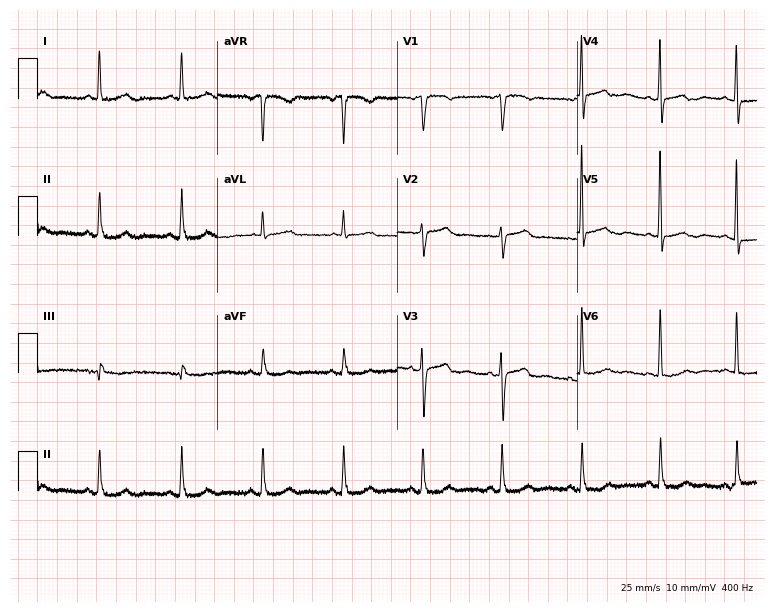
Electrocardiogram, a female, 68 years old. Of the six screened findings (first-degree AV block, right bundle branch block, left bundle branch block, sinus bradycardia, atrial fibrillation, sinus tachycardia), none is recorded.